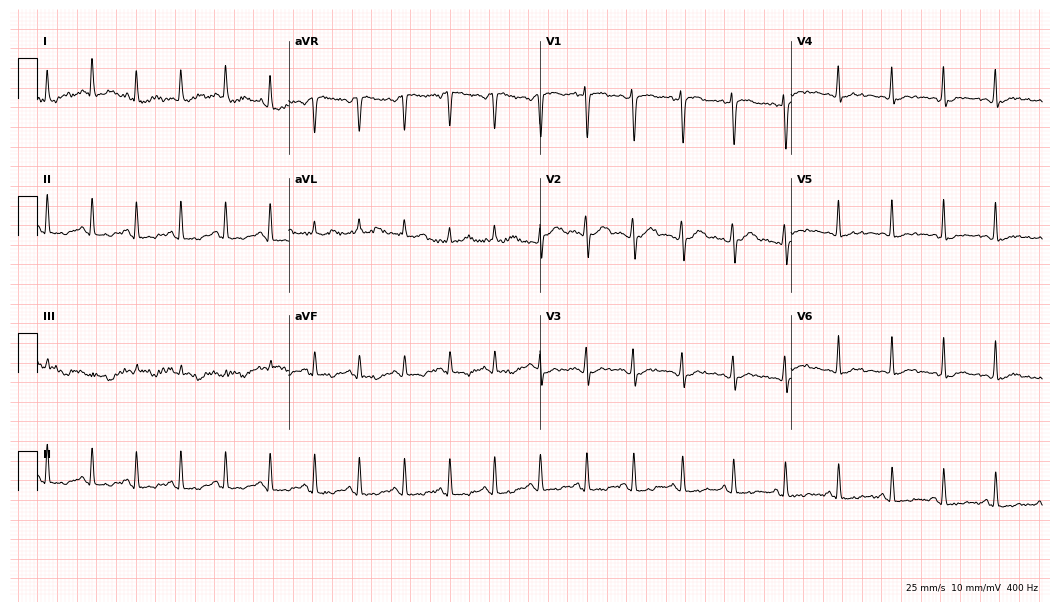
Electrocardiogram, a 32-year-old woman. Interpretation includes sinus tachycardia (a sinus rate of 100 beats per minute or more).